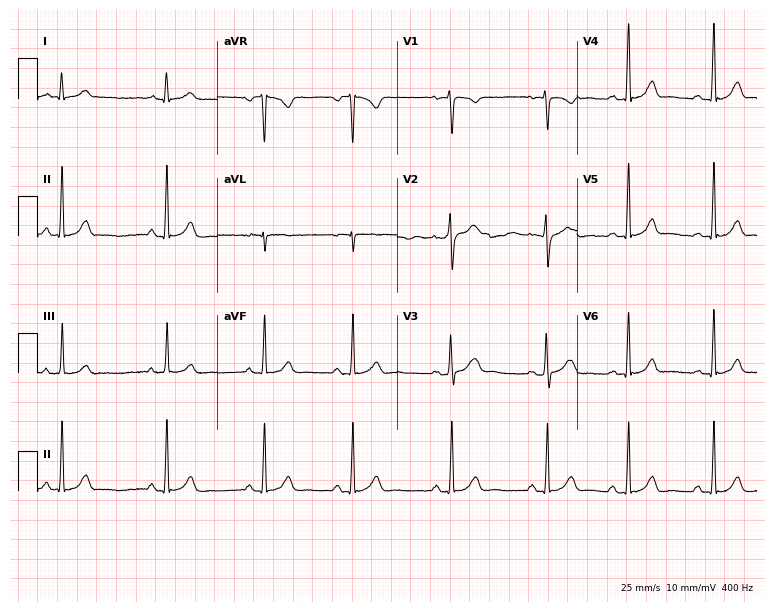
Resting 12-lead electrocardiogram (7.3-second recording at 400 Hz). Patient: a 29-year-old female. Read as a normal ECG.